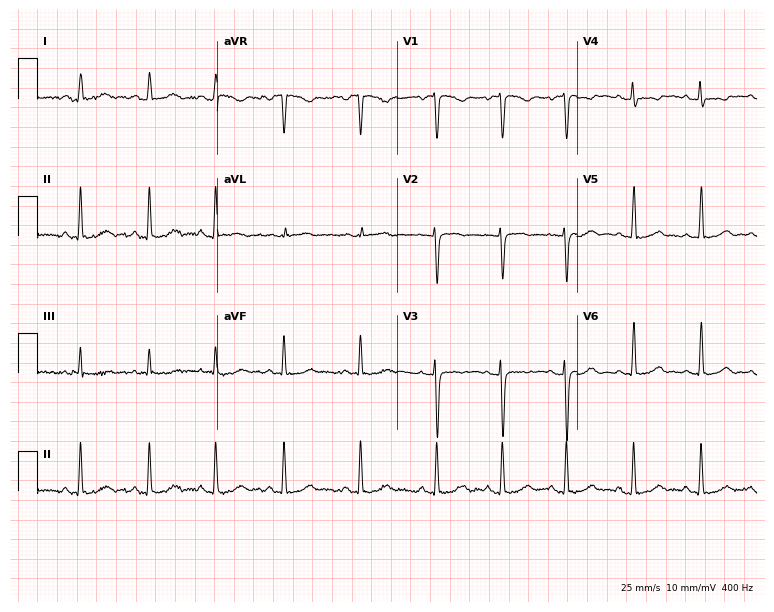
12-lead ECG from a female patient, 18 years old. Recorded interpretation: within normal limits.